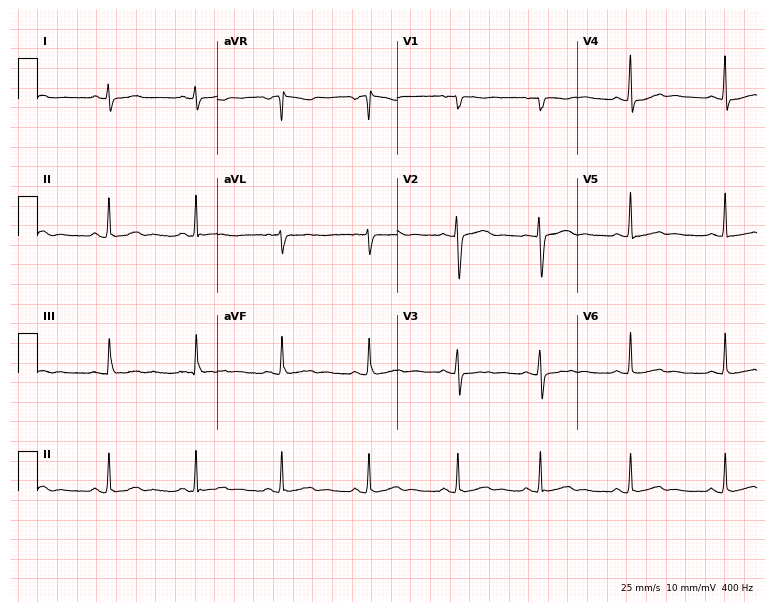
12-lead ECG (7.3-second recording at 400 Hz) from a woman, 48 years old. Screened for six findings — first-degree AV block, right bundle branch block (RBBB), left bundle branch block (LBBB), sinus bradycardia, atrial fibrillation (AF), sinus tachycardia — none is recorded. Other findings, if any, are not listed.